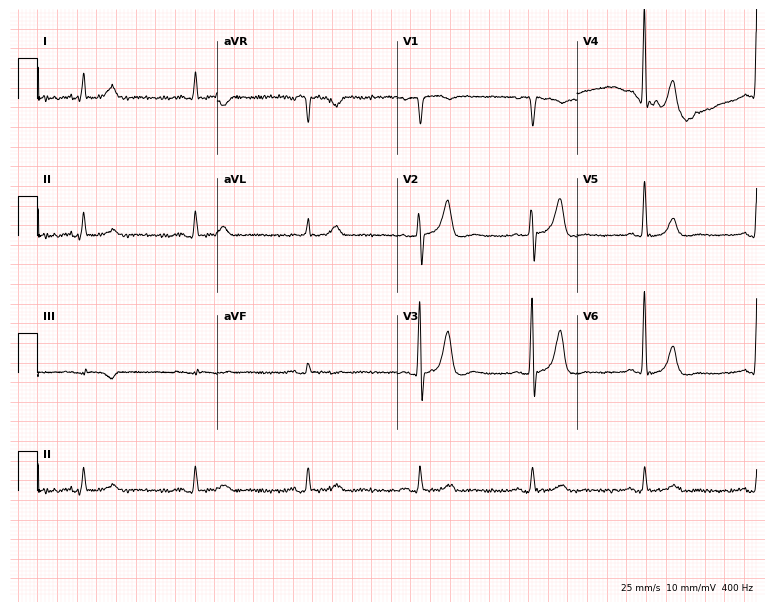
ECG — a male patient, 81 years old. Screened for six findings — first-degree AV block, right bundle branch block (RBBB), left bundle branch block (LBBB), sinus bradycardia, atrial fibrillation (AF), sinus tachycardia — none is recorded. Only these six findings were labelled.